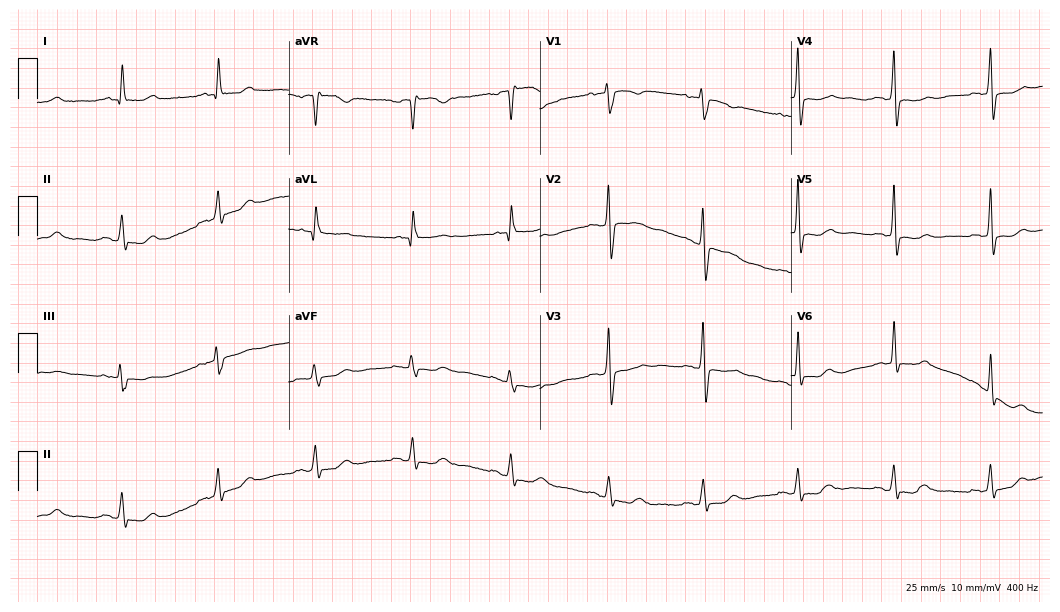
ECG — a female patient, 49 years old. Screened for six findings — first-degree AV block, right bundle branch block, left bundle branch block, sinus bradycardia, atrial fibrillation, sinus tachycardia — none is recorded.